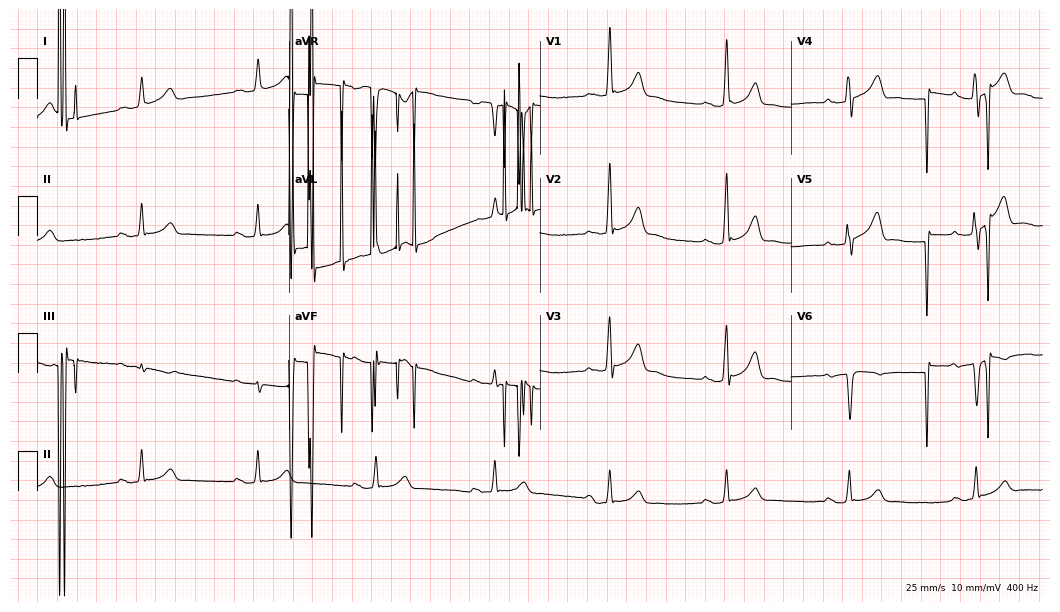
Standard 12-lead ECG recorded from a 17-year-old female patient (10.2-second recording at 400 Hz). None of these six findings is recorded: first-degree AV block, right bundle branch block, left bundle branch block, sinus bradycardia, atrial fibrillation, sinus tachycardia. Only these six findings were labelled.